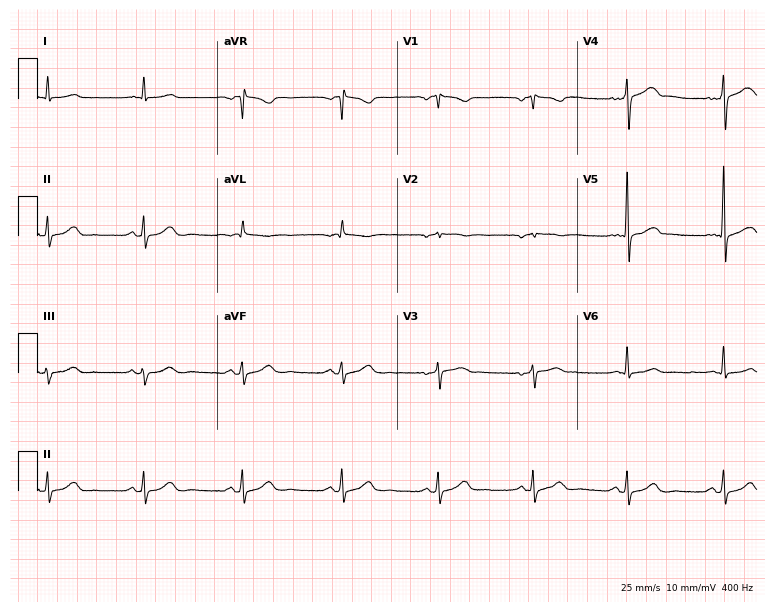
Standard 12-lead ECG recorded from a male patient, 57 years old (7.3-second recording at 400 Hz). None of these six findings is recorded: first-degree AV block, right bundle branch block (RBBB), left bundle branch block (LBBB), sinus bradycardia, atrial fibrillation (AF), sinus tachycardia. Findings outside these six are not listed.